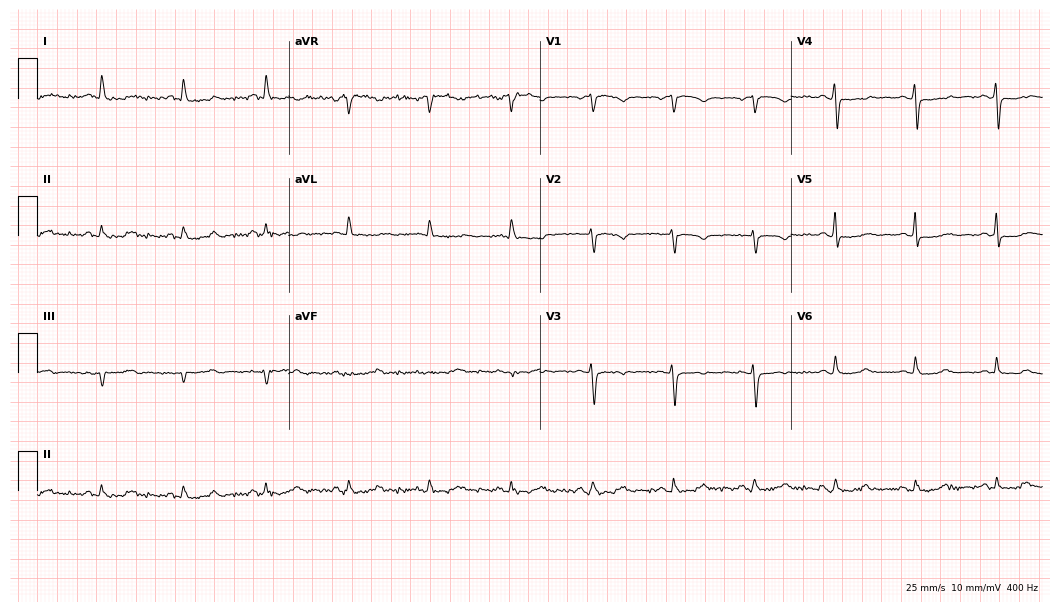
ECG (10.2-second recording at 400 Hz) — a 61-year-old woman. Screened for six findings — first-degree AV block, right bundle branch block, left bundle branch block, sinus bradycardia, atrial fibrillation, sinus tachycardia — none is recorded. Other findings, if any, are not listed.